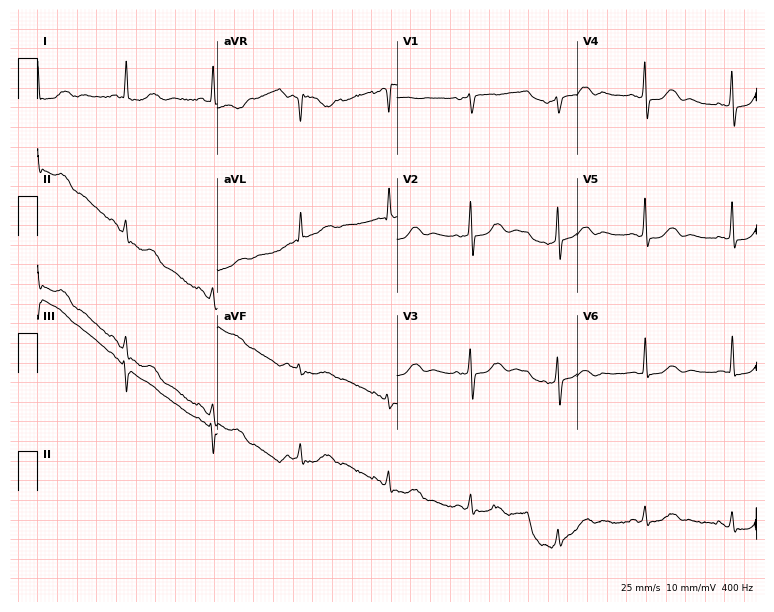
Standard 12-lead ECG recorded from a woman, 77 years old. None of these six findings is recorded: first-degree AV block, right bundle branch block, left bundle branch block, sinus bradycardia, atrial fibrillation, sinus tachycardia. Other findings, if any, are not listed.